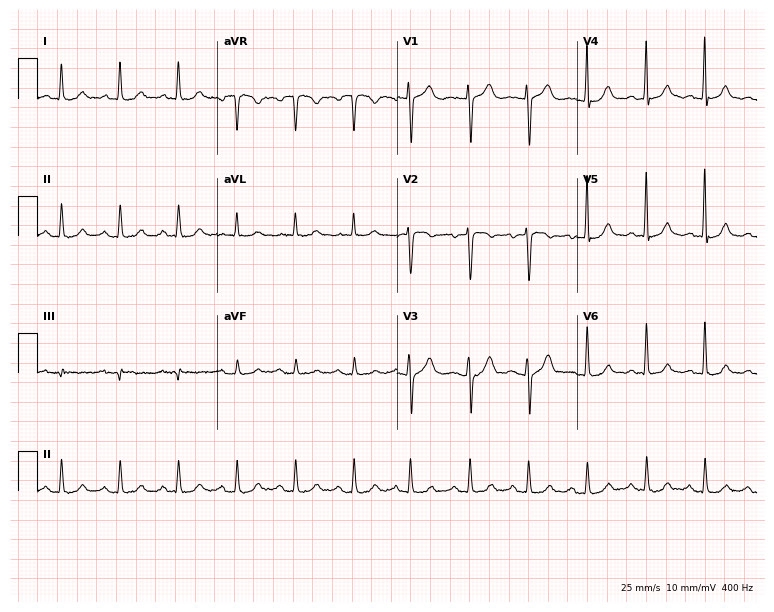
12-lead ECG from a man, 65 years old. No first-degree AV block, right bundle branch block, left bundle branch block, sinus bradycardia, atrial fibrillation or sinus tachycardia recorded for this tracing.